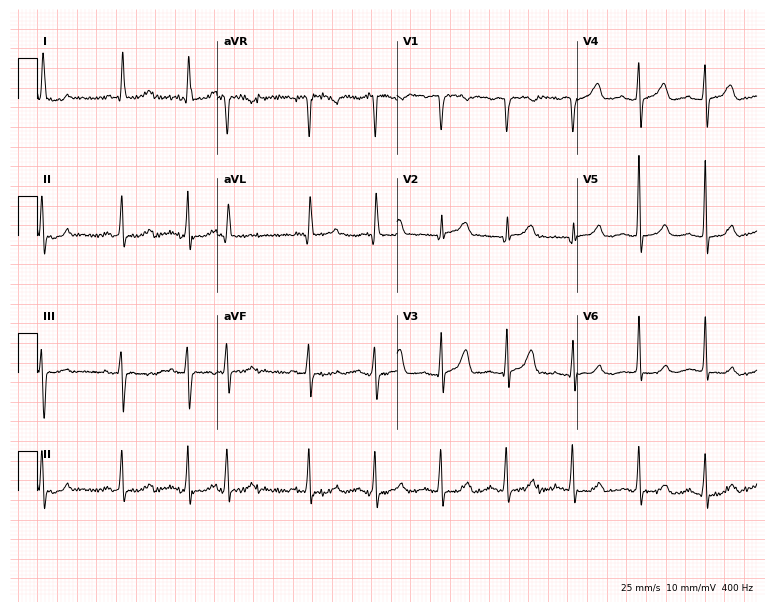
ECG — a 68-year-old woman. Screened for six findings — first-degree AV block, right bundle branch block (RBBB), left bundle branch block (LBBB), sinus bradycardia, atrial fibrillation (AF), sinus tachycardia — none is recorded. Findings outside these six are not listed.